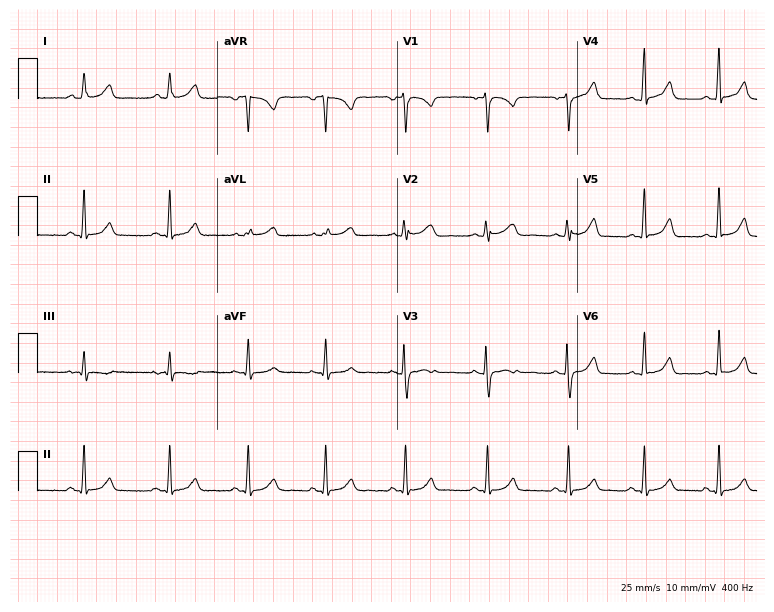
Resting 12-lead electrocardiogram. Patient: a 19-year-old woman. Read as a normal ECG.